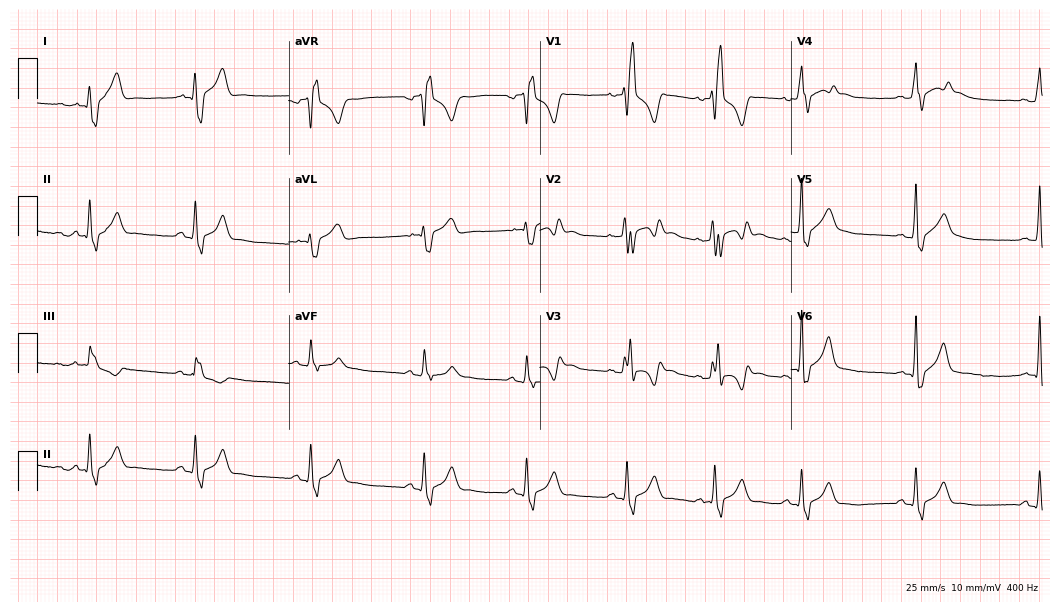
12-lead ECG from an 18-year-old male patient. Screened for six findings — first-degree AV block, right bundle branch block (RBBB), left bundle branch block (LBBB), sinus bradycardia, atrial fibrillation (AF), sinus tachycardia — none is recorded.